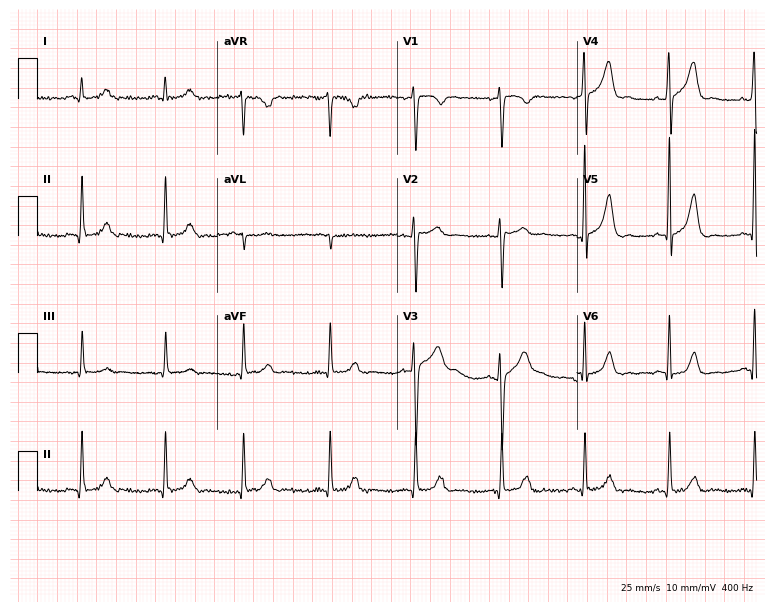
12-lead ECG (7.3-second recording at 400 Hz) from a 39-year-old man. Labelled as a normal ECG.